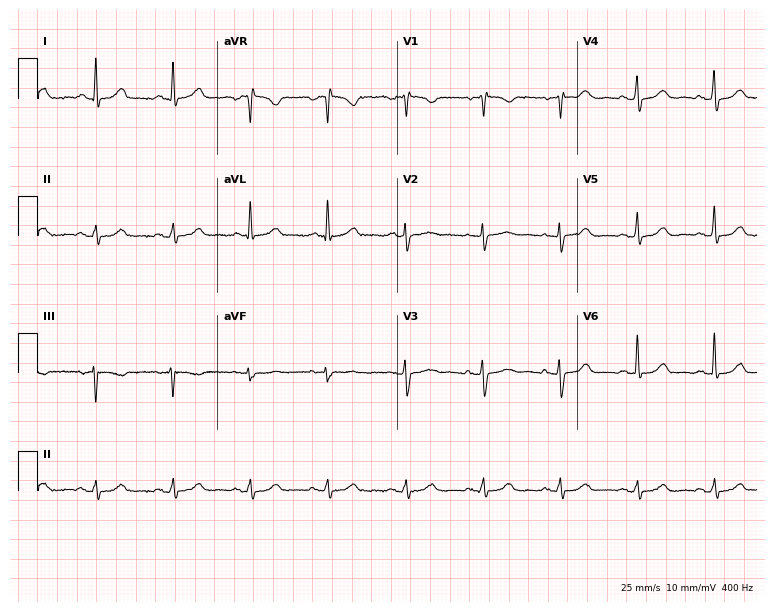
ECG (7.3-second recording at 400 Hz) — a 68-year-old woman. Labelled as a normal ECG.